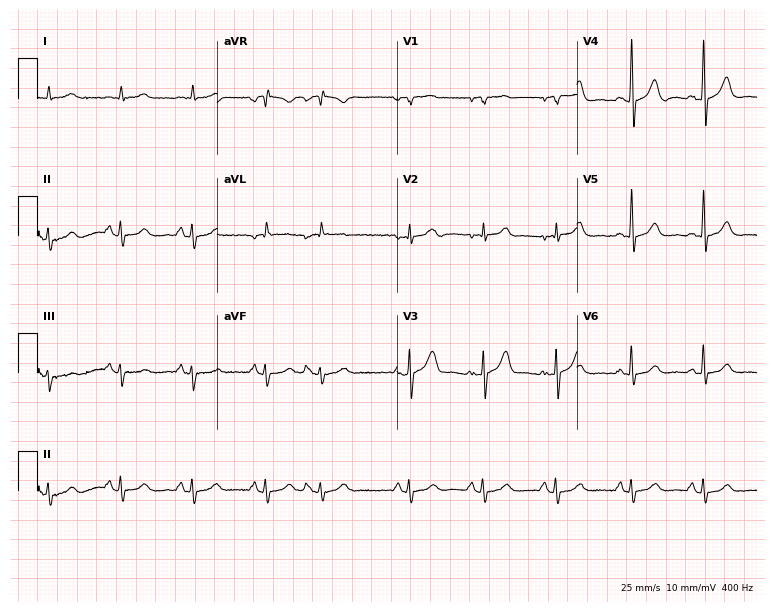
Electrocardiogram, a male patient, 77 years old. Of the six screened findings (first-degree AV block, right bundle branch block (RBBB), left bundle branch block (LBBB), sinus bradycardia, atrial fibrillation (AF), sinus tachycardia), none is recorded.